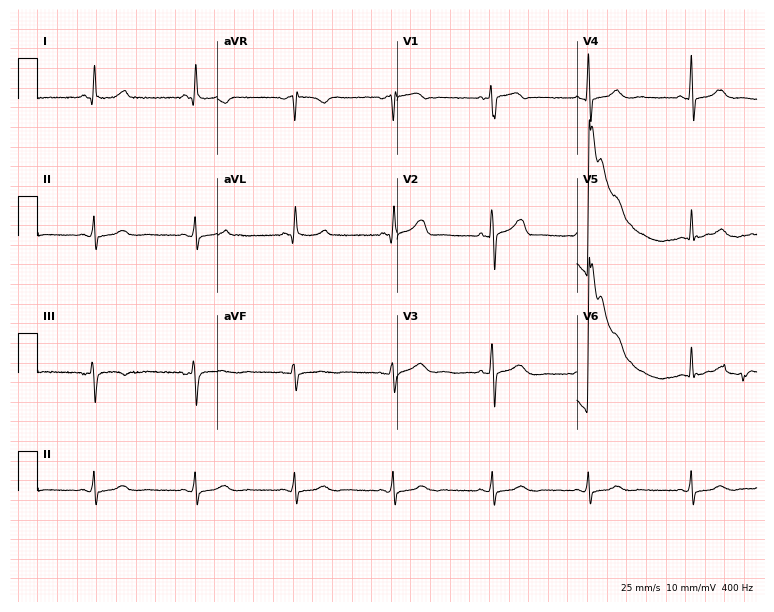
12-lead ECG (7.3-second recording at 400 Hz) from a woman, 60 years old. Labelled as a normal ECG.